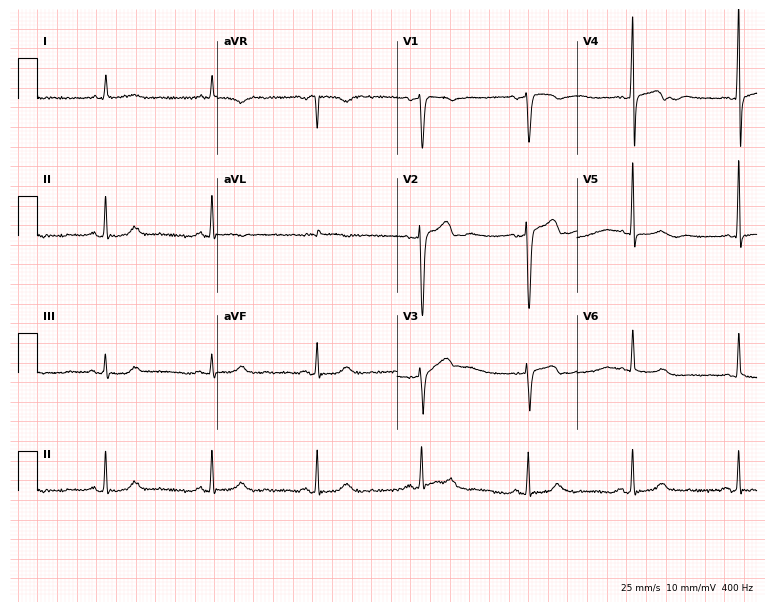
Resting 12-lead electrocardiogram. Patient: a 75-year-old woman. None of these six findings is recorded: first-degree AV block, right bundle branch block, left bundle branch block, sinus bradycardia, atrial fibrillation, sinus tachycardia. Only these six findings were labelled.